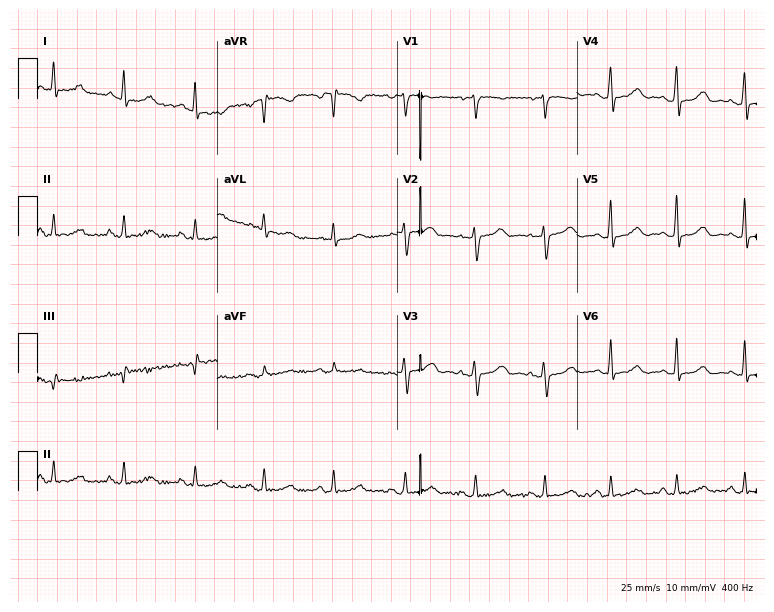
Electrocardiogram (7.3-second recording at 400 Hz), a 46-year-old woman. Of the six screened findings (first-degree AV block, right bundle branch block, left bundle branch block, sinus bradycardia, atrial fibrillation, sinus tachycardia), none is recorded.